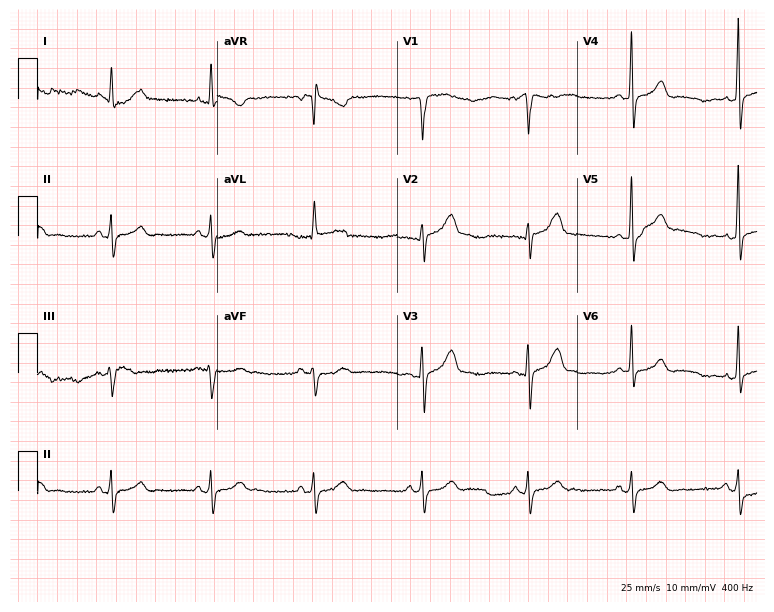
12-lead ECG (7.3-second recording at 400 Hz) from a 71-year-old male patient. Screened for six findings — first-degree AV block, right bundle branch block, left bundle branch block, sinus bradycardia, atrial fibrillation, sinus tachycardia — none is recorded.